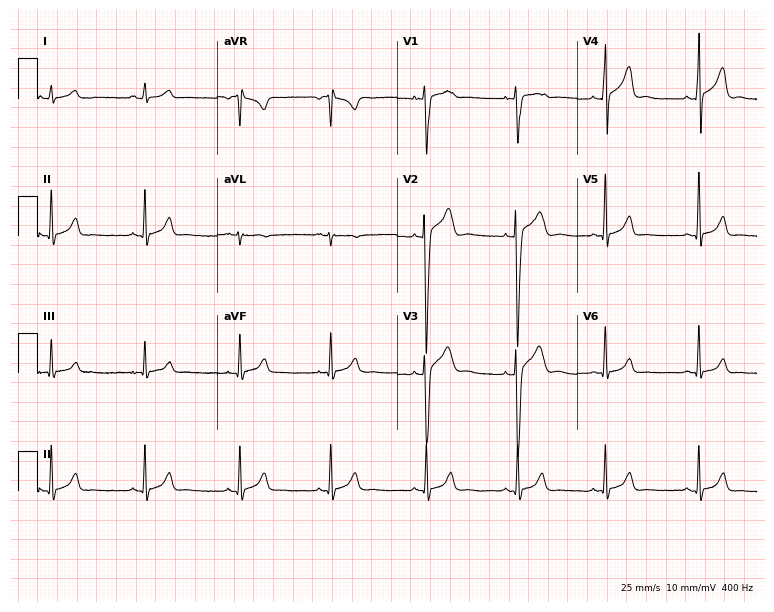
Resting 12-lead electrocardiogram (7.3-second recording at 400 Hz). Patient: a male, 17 years old. Read as a normal ECG.